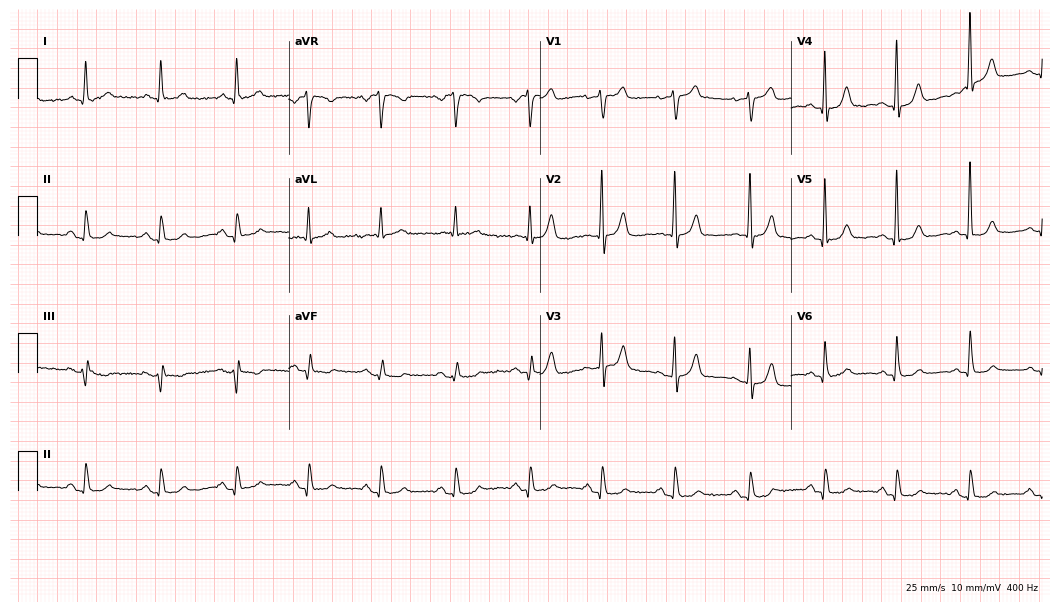
12-lead ECG from a 70-year-old female patient. Recorded interpretation: within normal limits.